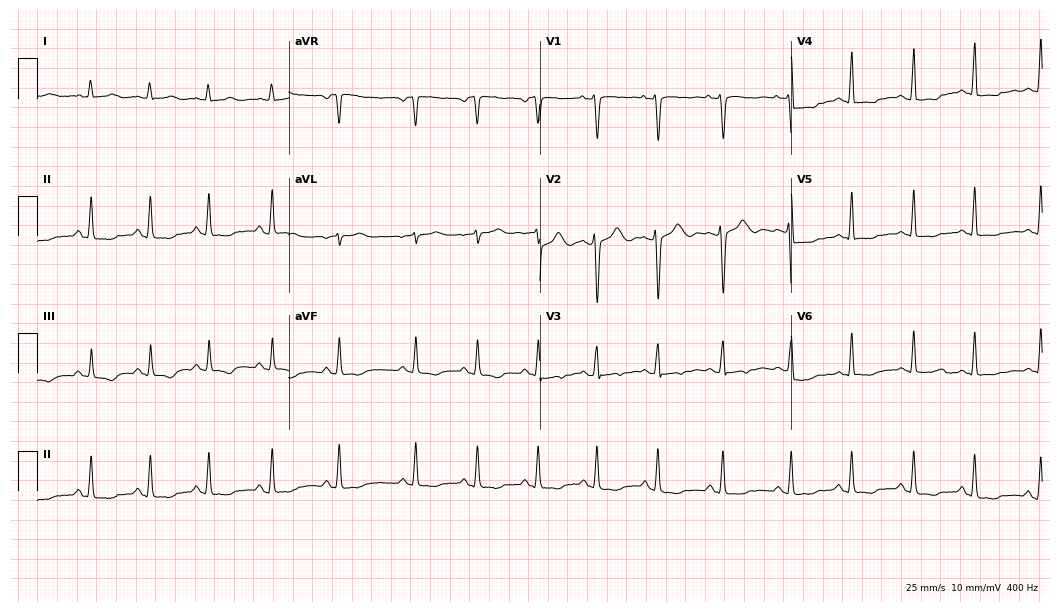
12-lead ECG from a 19-year-old female patient. Screened for six findings — first-degree AV block, right bundle branch block, left bundle branch block, sinus bradycardia, atrial fibrillation, sinus tachycardia — none is recorded.